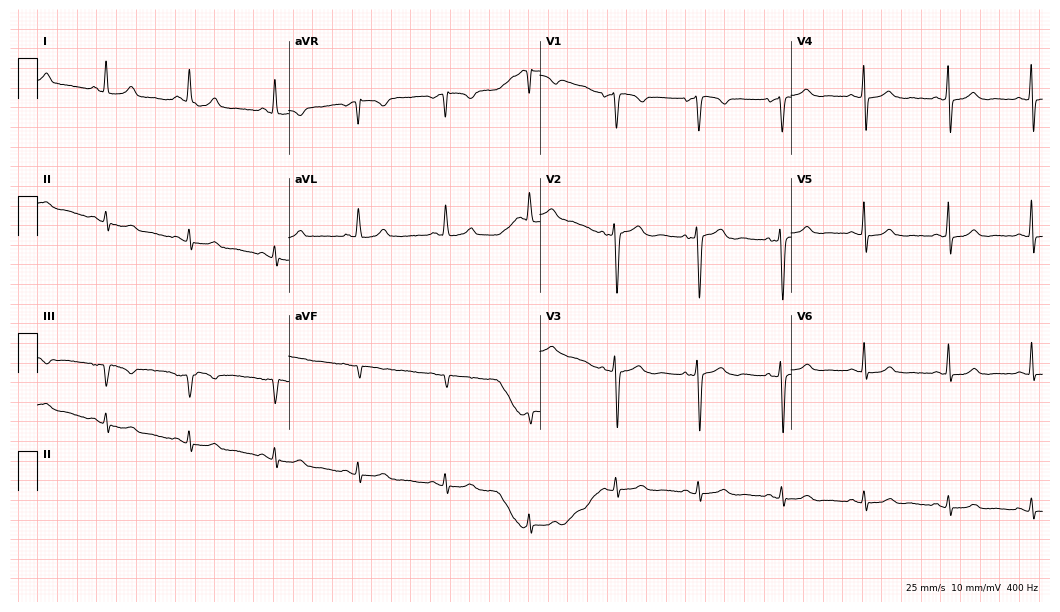
Resting 12-lead electrocardiogram (10.2-second recording at 400 Hz). Patient: a female, 64 years old. None of these six findings is recorded: first-degree AV block, right bundle branch block, left bundle branch block, sinus bradycardia, atrial fibrillation, sinus tachycardia.